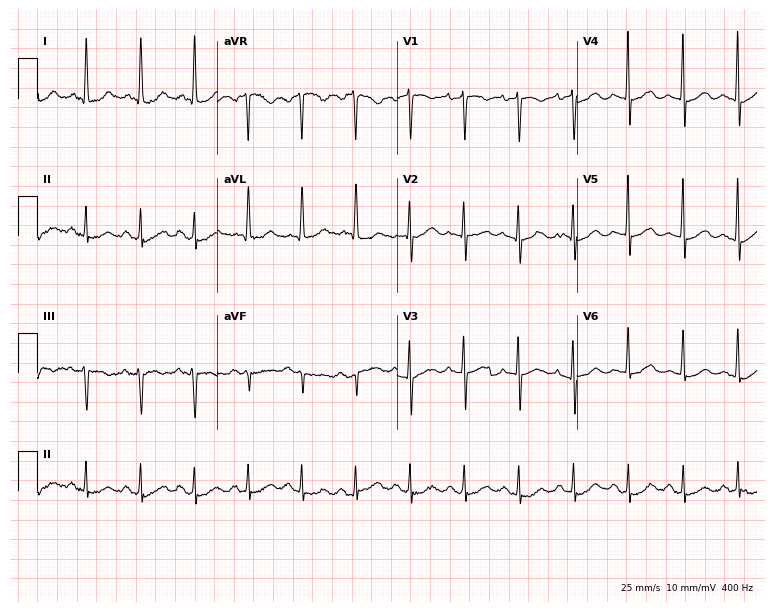
Resting 12-lead electrocardiogram (7.3-second recording at 400 Hz). Patient: a woman, 79 years old. None of these six findings is recorded: first-degree AV block, right bundle branch block, left bundle branch block, sinus bradycardia, atrial fibrillation, sinus tachycardia. Only these six findings were labelled.